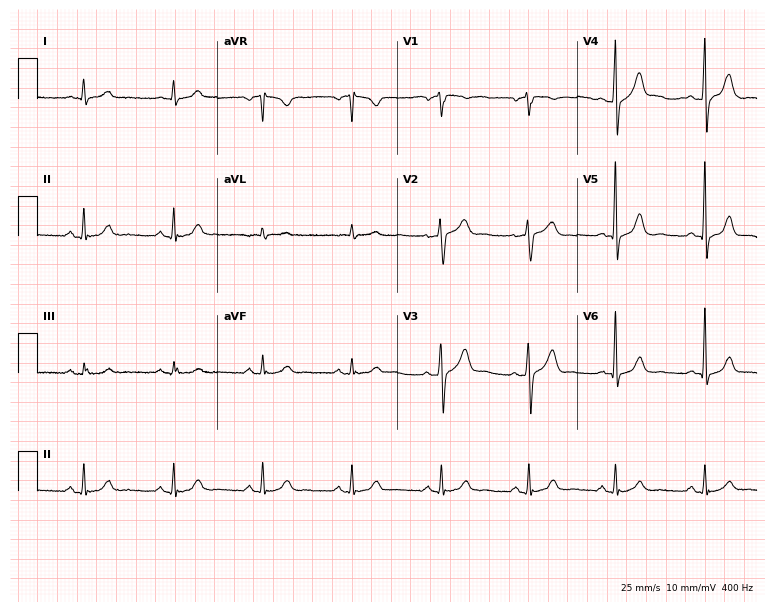
Electrocardiogram, a 63-year-old male. Overall reading on record: normal ECG.